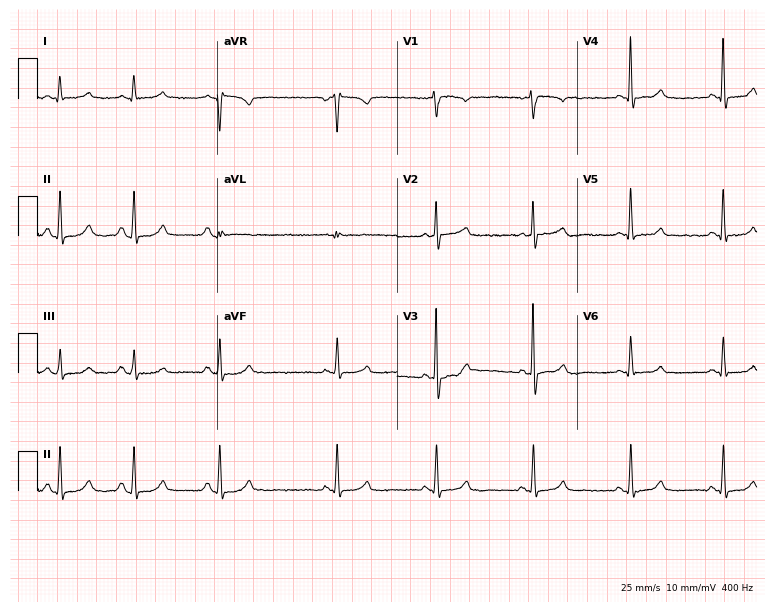
Standard 12-lead ECG recorded from a female patient, 55 years old. None of these six findings is recorded: first-degree AV block, right bundle branch block, left bundle branch block, sinus bradycardia, atrial fibrillation, sinus tachycardia. Findings outside these six are not listed.